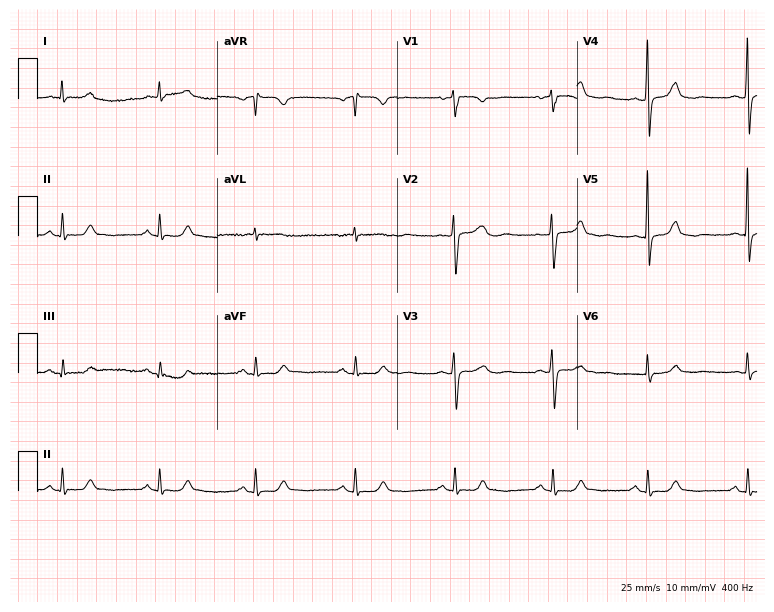
12-lead ECG (7.3-second recording at 400 Hz) from a 56-year-old female. Screened for six findings — first-degree AV block, right bundle branch block, left bundle branch block, sinus bradycardia, atrial fibrillation, sinus tachycardia — none is recorded. Findings outside these six are not listed.